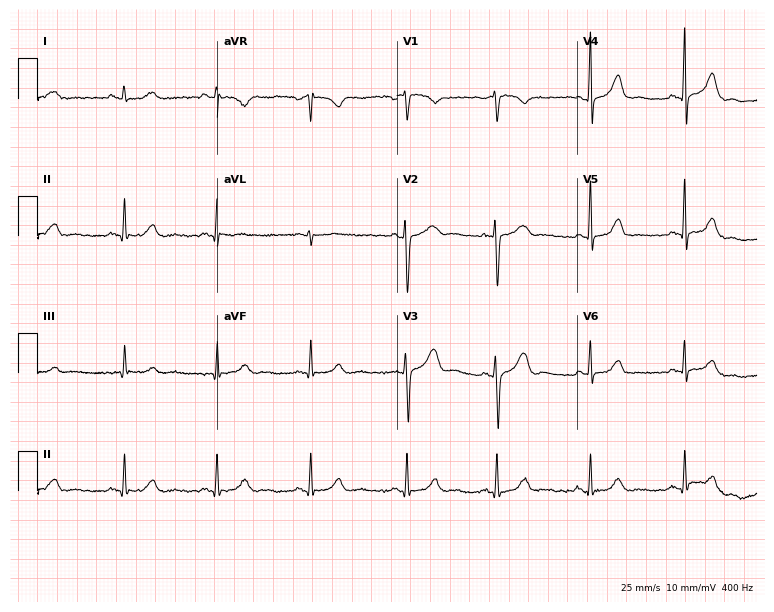
Standard 12-lead ECG recorded from a female patient, 44 years old. Read as a normal ECG.